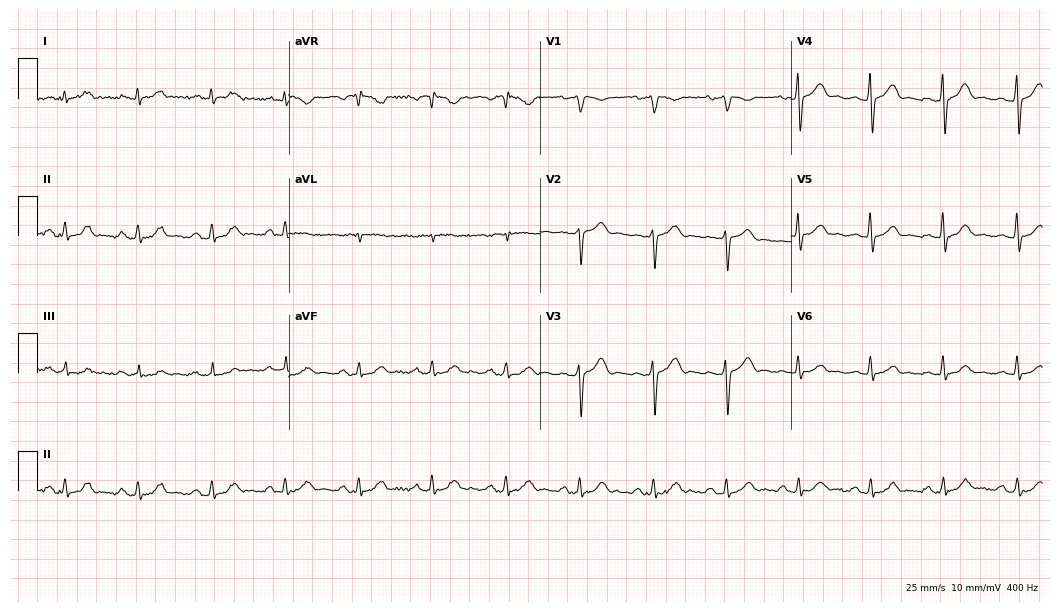
ECG (10.2-second recording at 400 Hz) — a male patient, 57 years old. Labelled as a normal ECG.